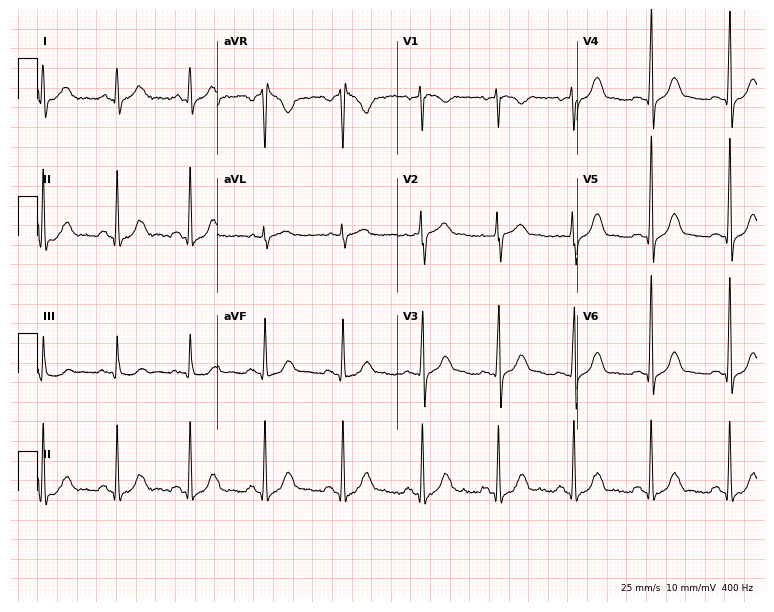
12-lead ECG (7.3-second recording at 400 Hz) from a woman, 48 years old. Screened for six findings — first-degree AV block, right bundle branch block, left bundle branch block, sinus bradycardia, atrial fibrillation, sinus tachycardia — none is recorded.